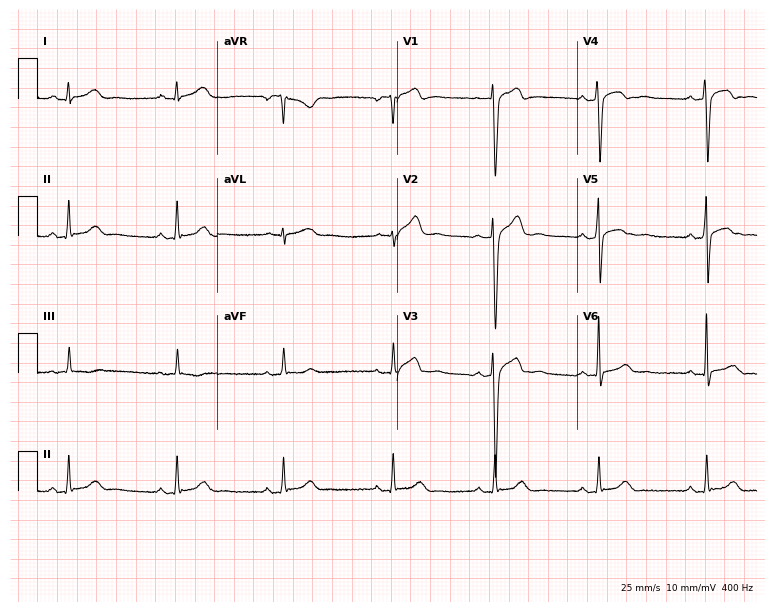
Standard 12-lead ECG recorded from a male patient, 31 years old (7.3-second recording at 400 Hz). None of these six findings is recorded: first-degree AV block, right bundle branch block, left bundle branch block, sinus bradycardia, atrial fibrillation, sinus tachycardia. Other findings, if any, are not listed.